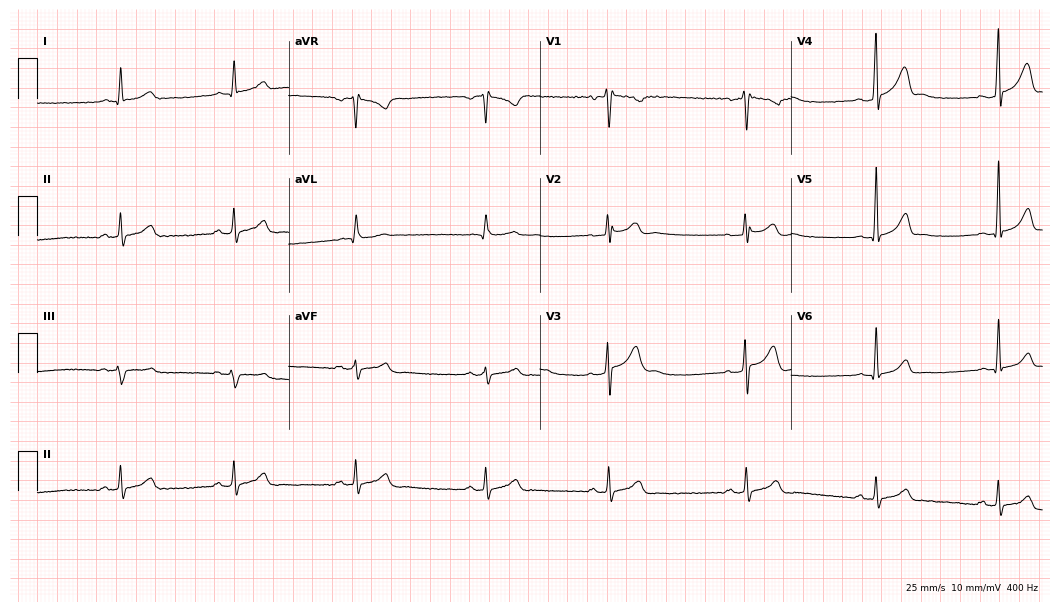
Resting 12-lead electrocardiogram. Patient: a man, 19 years old. None of these six findings is recorded: first-degree AV block, right bundle branch block, left bundle branch block, sinus bradycardia, atrial fibrillation, sinus tachycardia. Only these six findings were labelled.